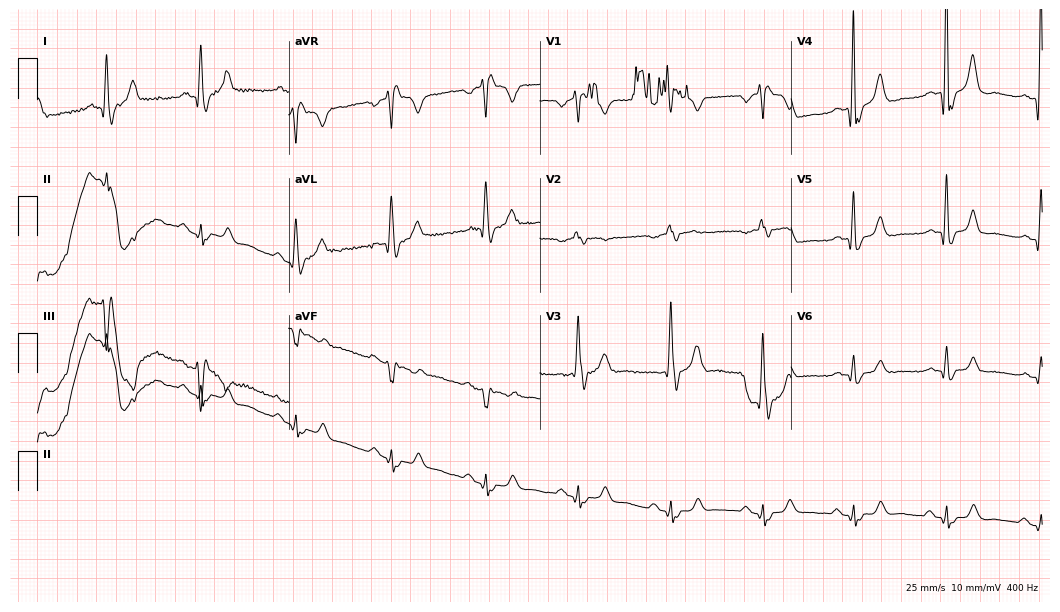
12-lead ECG from a 60-year-old man (10.2-second recording at 400 Hz). Shows right bundle branch block.